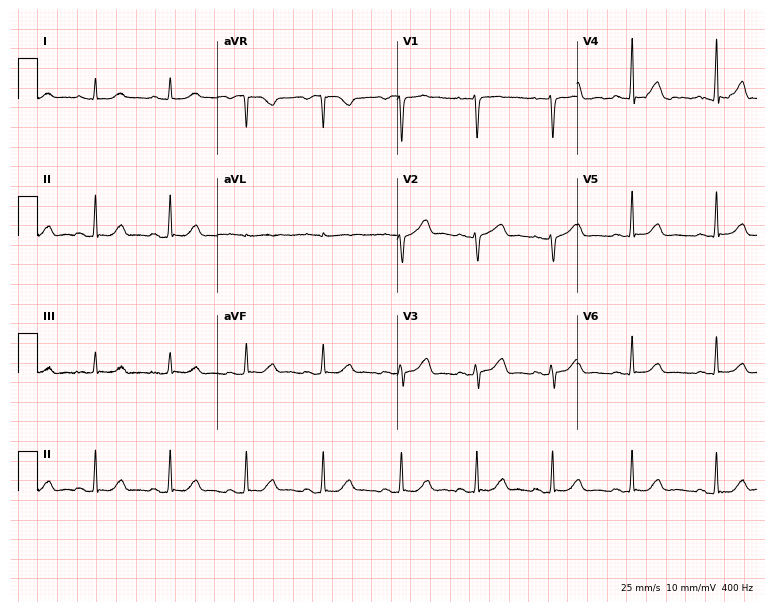
ECG — a 45-year-old female patient. Screened for six findings — first-degree AV block, right bundle branch block (RBBB), left bundle branch block (LBBB), sinus bradycardia, atrial fibrillation (AF), sinus tachycardia — none is recorded.